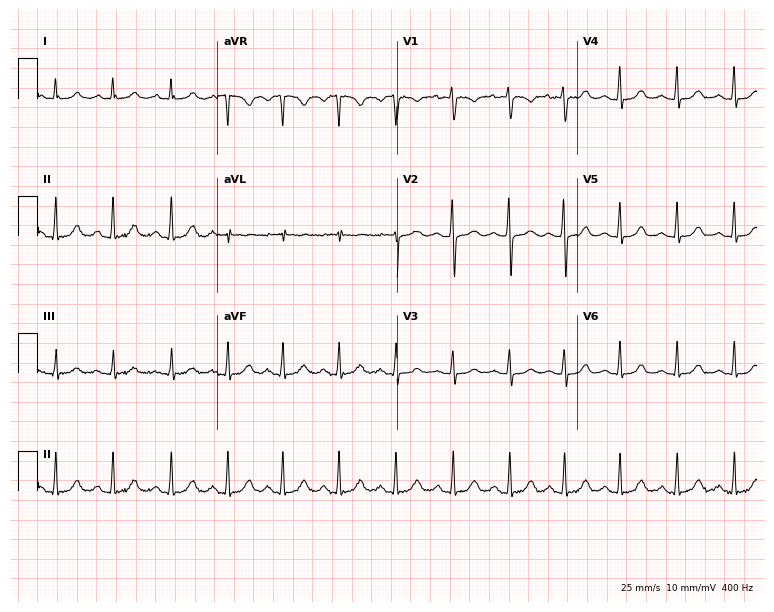
12-lead ECG from a woman, 22 years old. Findings include sinus tachycardia (a sinus rate of 100 beats per minute or more).